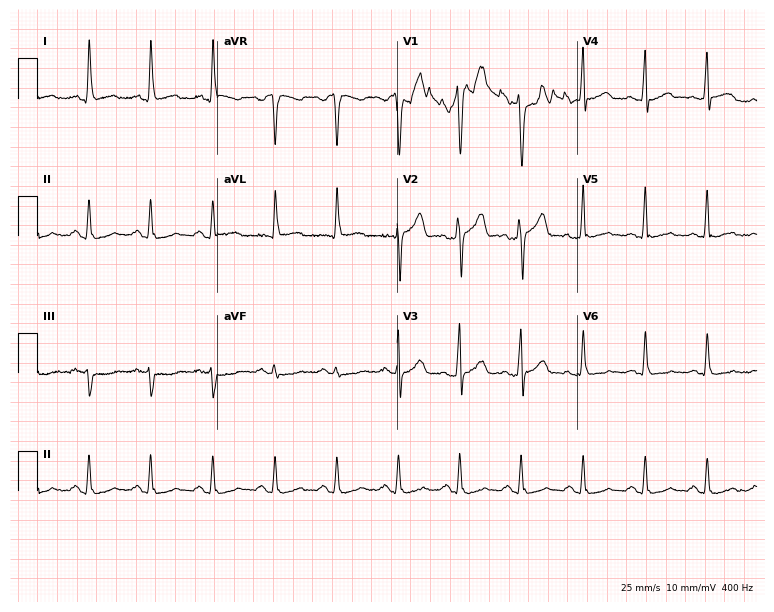
12-lead ECG (7.3-second recording at 400 Hz) from a 42-year-old man. Screened for six findings — first-degree AV block, right bundle branch block, left bundle branch block, sinus bradycardia, atrial fibrillation, sinus tachycardia — none is recorded. Other findings, if any, are not listed.